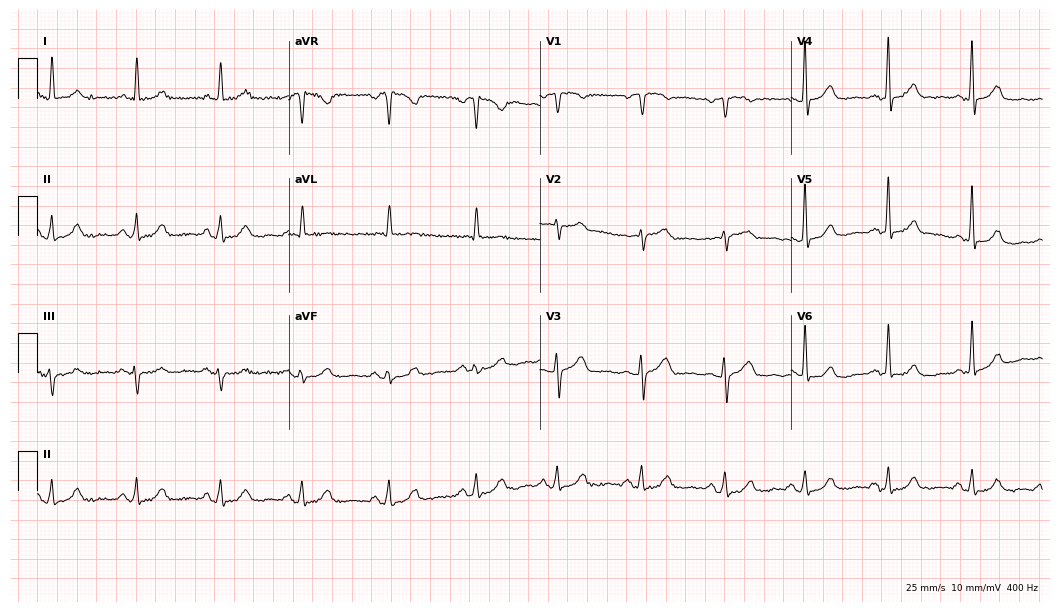
ECG — a 73-year-old female. Labelled as a normal ECG.